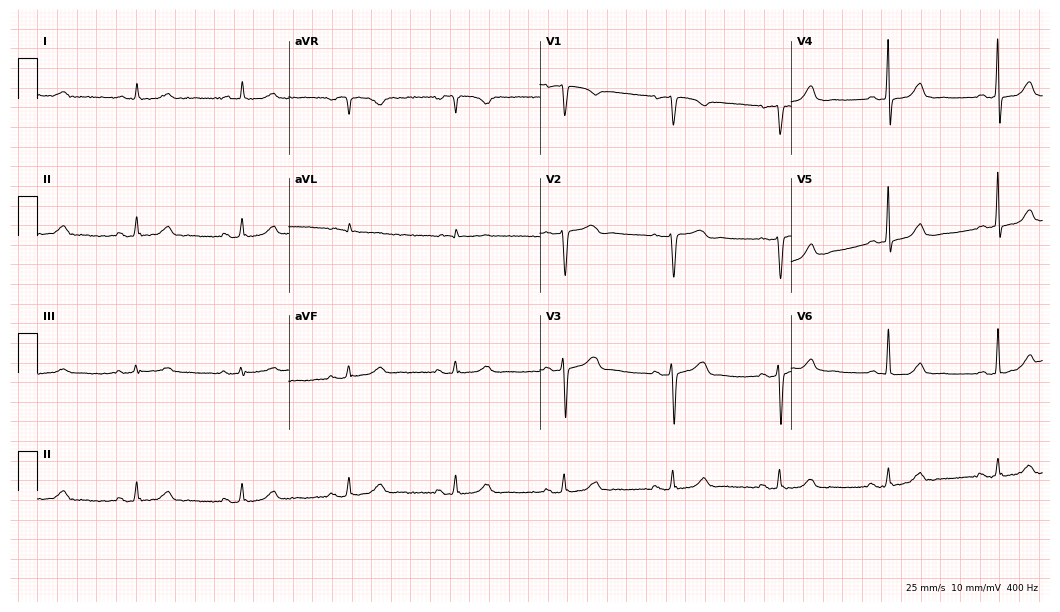
ECG — a 73-year-old female patient. Labelled as a normal ECG.